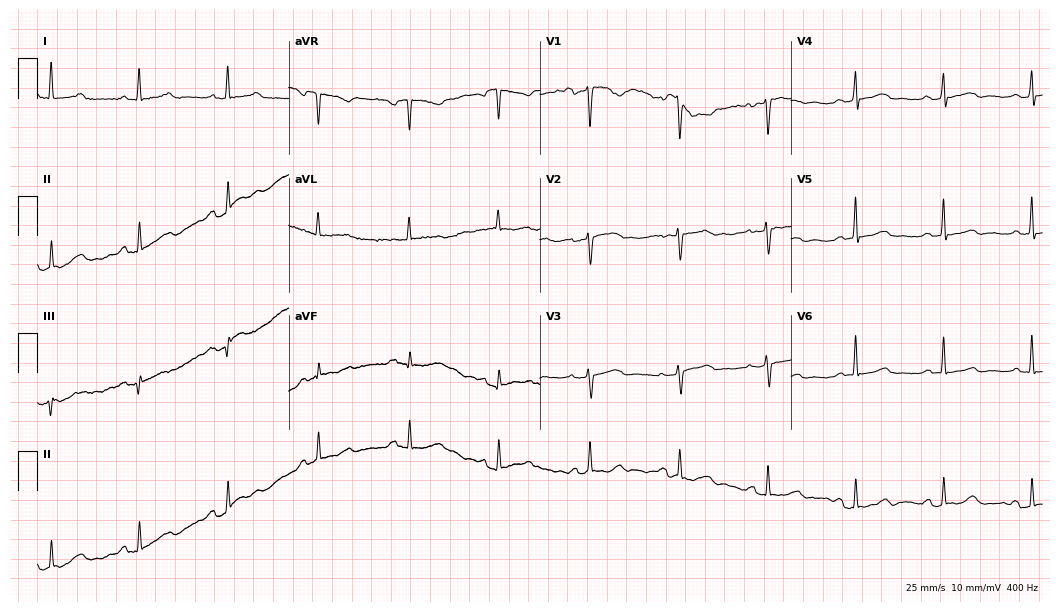
Resting 12-lead electrocardiogram (10.2-second recording at 400 Hz). Patient: a 56-year-old female. Read as a normal ECG.